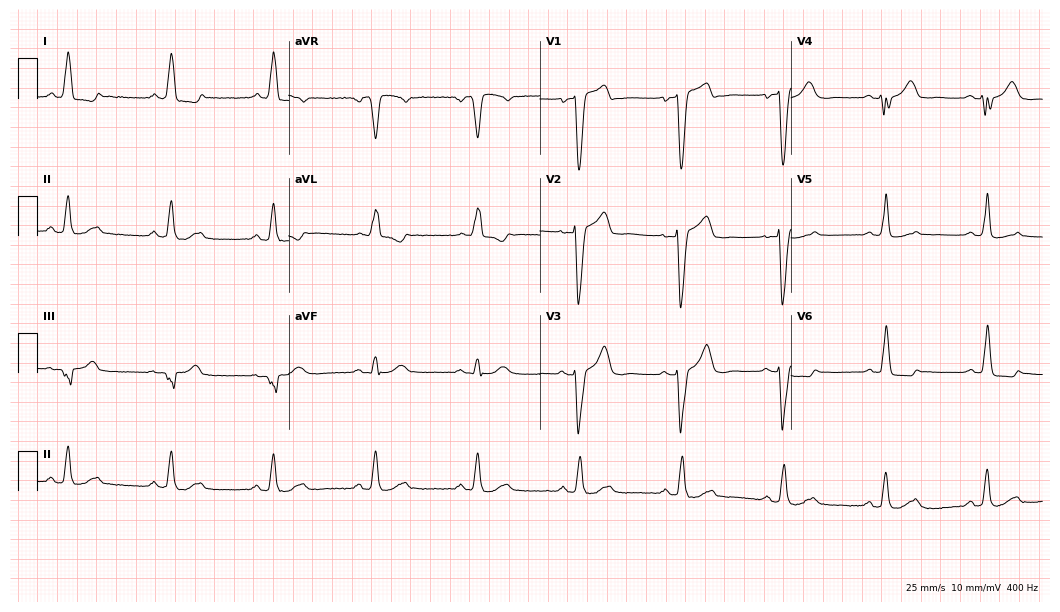
Resting 12-lead electrocardiogram. Patient: a female, 69 years old. The tracing shows left bundle branch block.